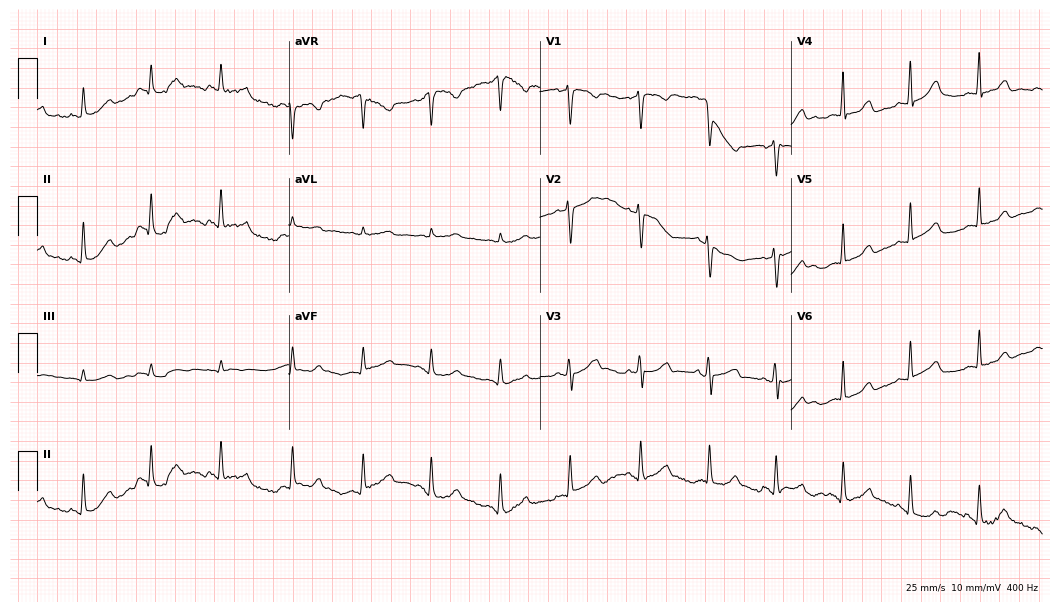
Resting 12-lead electrocardiogram (10.2-second recording at 400 Hz). Patient: a 39-year-old woman. Read as a normal ECG.